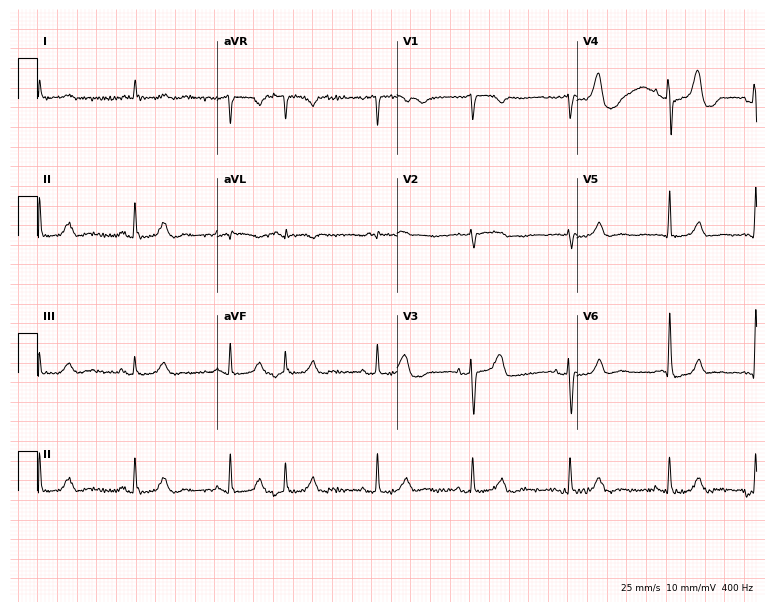
12-lead ECG from a man, 68 years old. No first-degree AV block, right bundle branch block (RBBB), left bundle branch block (LBBB), sinus bradycardia, atrial fibrillation (AF) or sinus tachycardia recorded for this tracing. Findings outside these six are not listed.